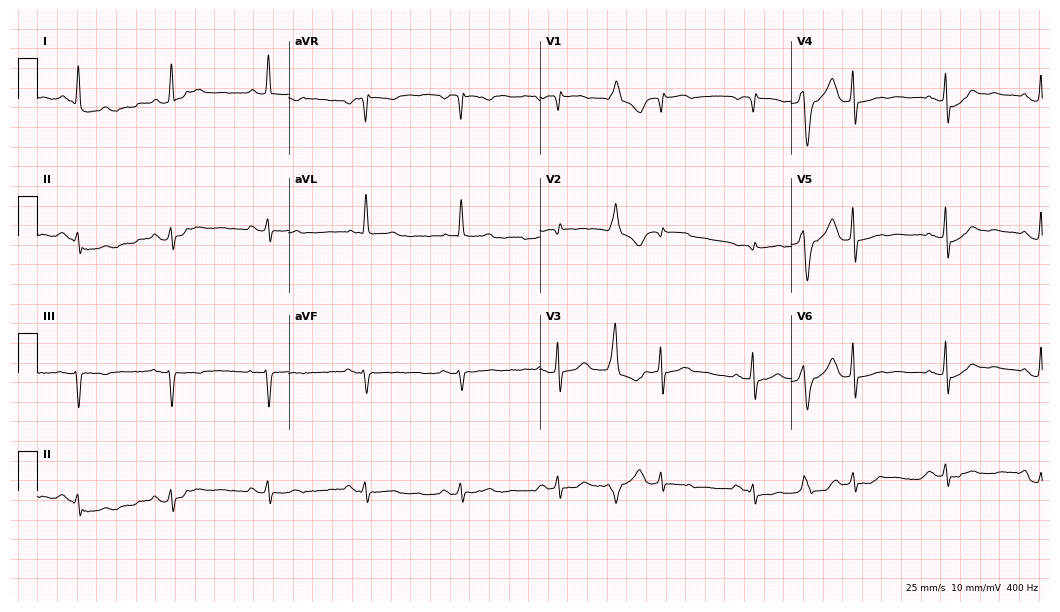
12-lead ECG from an 82-year-old female. No first-degree AV block, right bundle branch block (RBBB), left bundle branch block (LBBB), sinus bradycardia, atrial fibrillation (AF) or sinus tachycardia recorded for this tracing. Other findings, if any, are not listed.